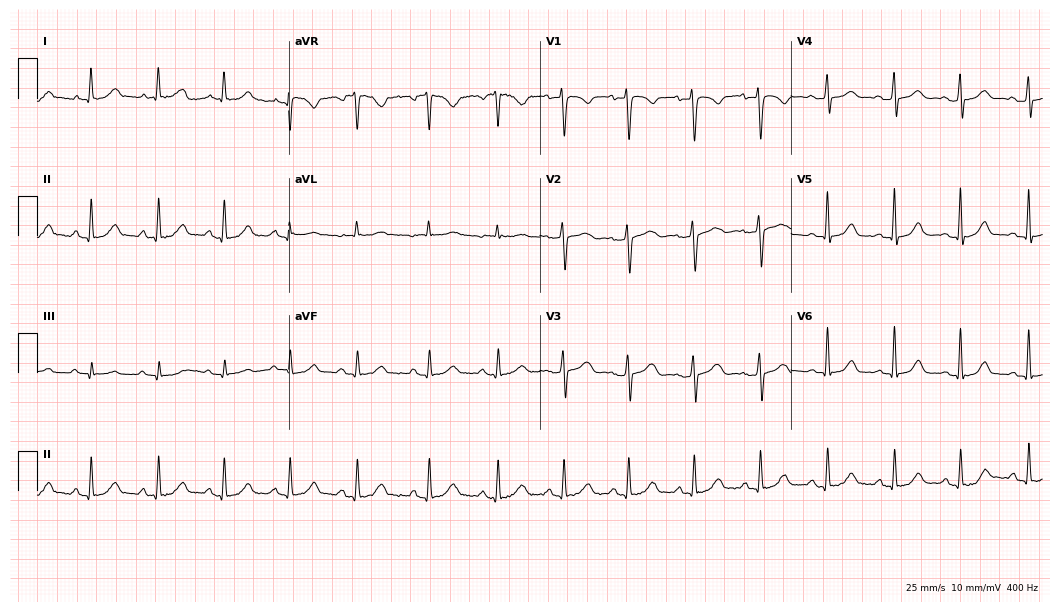
Standard 12-lead ECG recorded from a 37-year-old female (10.2-second recording at 400 Hz). None of these six findings is recorded: first-degree AV block, right bundle branch block (RBBB), left bundle branch block (LBBB), sinus bradycardia, atrial fibrillation (AF), sinus tachycardia.